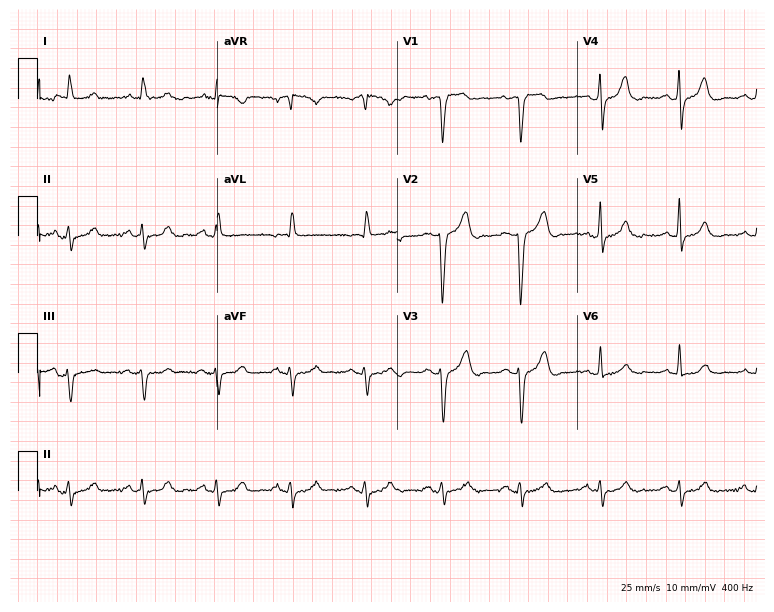
Standard 12-lead ECG recorded from an 83-year-old male patient (7.3-second recording at 400 Hz). None of these six findings is recorded: first-degree AV block, right bundle branch block (RBBB), left bundle branch block (LBBB), sinus bradycardia, atrial fibrillation (AF), sinus tachycardia.